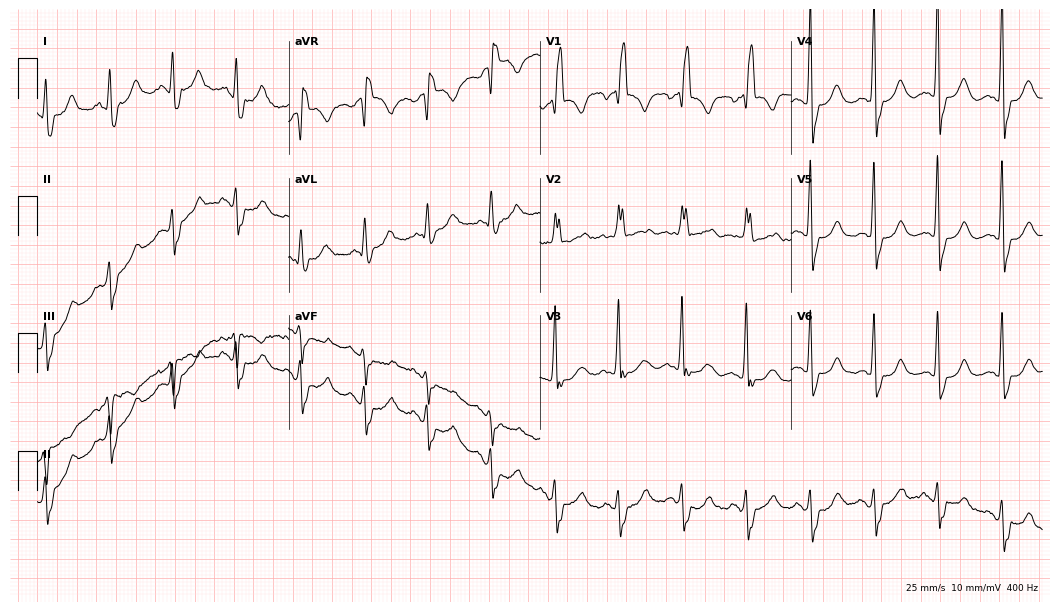
Standard 12-lead ECG recorded from a woman, 66 years old. The tracing shows right bundle branch block (RBBB).